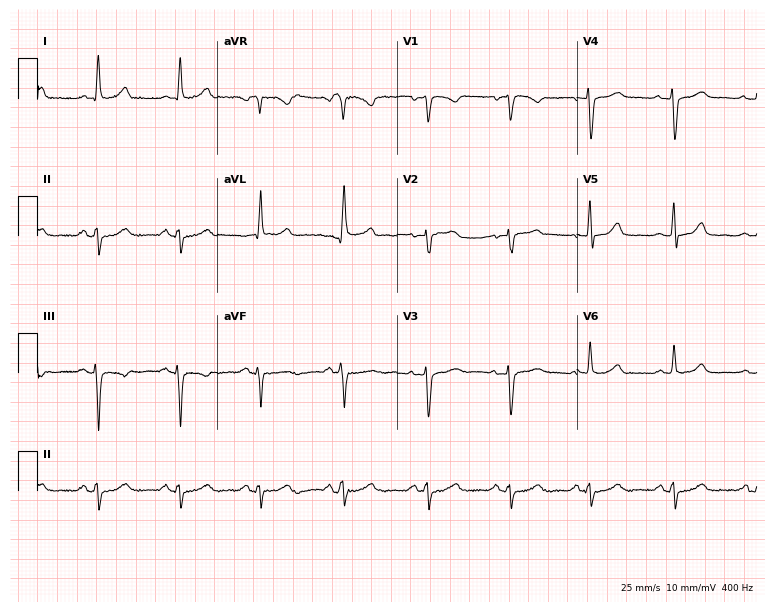
12-lead ECG from a 55-year-old woman. Screened for six findings — first-degree AV block, right bundle branch block, left bundle branch block, sinus bradycardia, atrial fibrillation, sinus tachycardia — none is recorded.